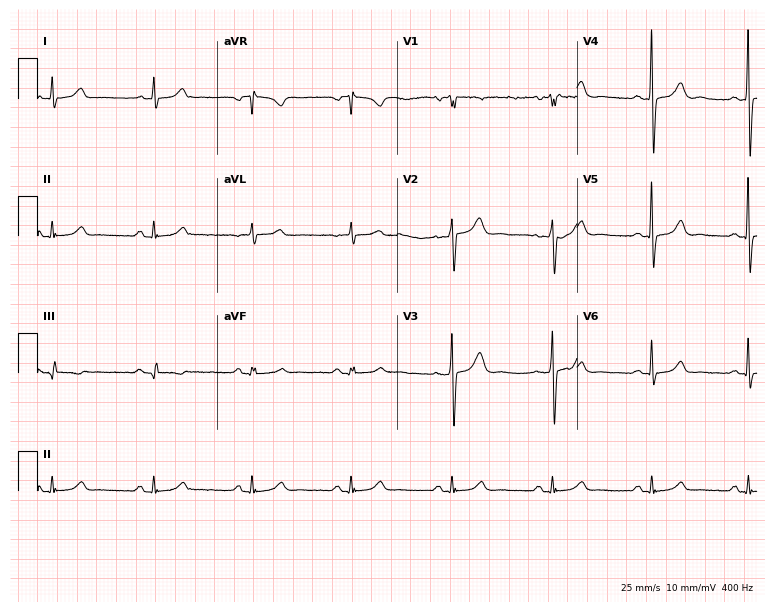
ECG — a 61-year-old male patient. Screened for six findings — first-degree AV block, right bundle branch block (RBBB), left bundle branch block (LBBB), sinus bradycardia, atrial fibrillation (AF), sinus tachycardia — none is recorded.